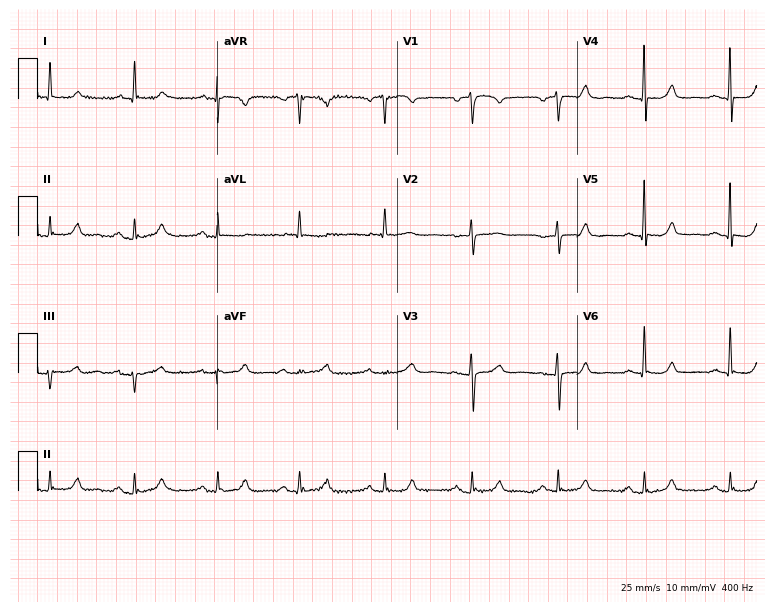
12-lead ECG from a female, 80 years old (7.3-second recording at 400 Hz). Recorded interpretation: within normal limits.